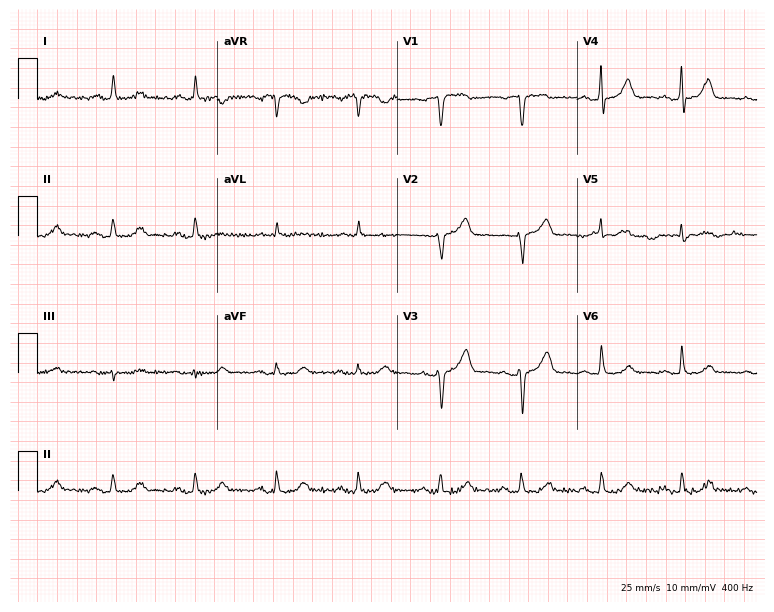
Electrocardiogram (7.3-second recording at 400 Hz), a male patient, 75 years old. Of the six screened findings (first-degree AV block, right bundle branch block (RBBB), left bundle branch block (LBBB), sinus bradycardia, atrial fibrillation (AF), sinus tachycardia), none is recorded.